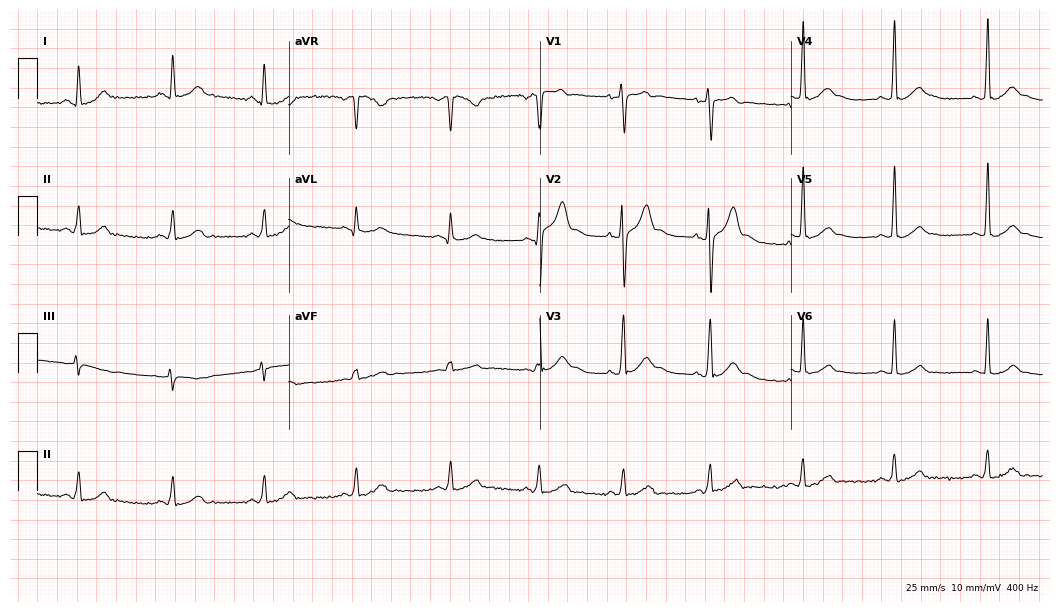
12-lead ECG (10.2-second recording at 400 Hz) from a 25-year-old male patient. Labelled as a normal ECG.